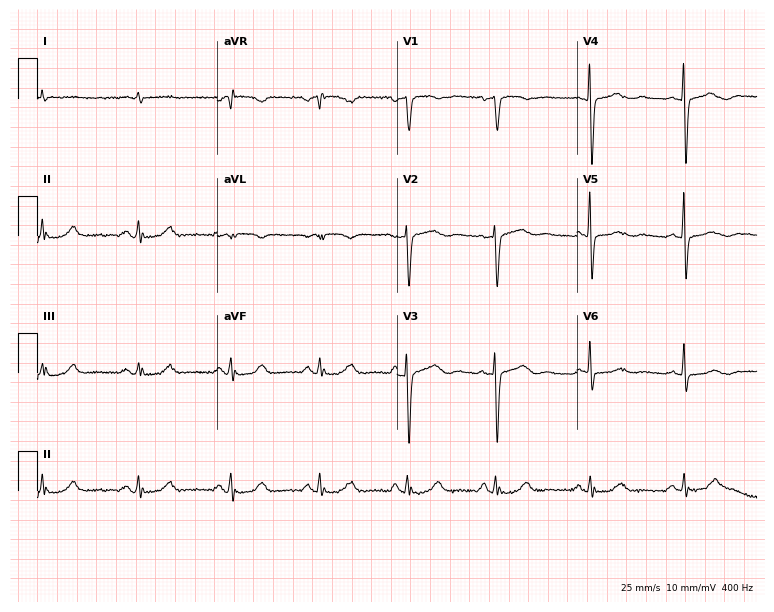
Electrocardiogram (7.3-second recording at 400 Hz), a man, 68 years old. Of the six screened findings (first-degree AV block, right bundle branch block (RBBB), left bundle branch block (LBBB), sinus bradycardia, atrial fibrillation (AF), sinus tachycardia), none is recorded. Findings outside these six are not listed.